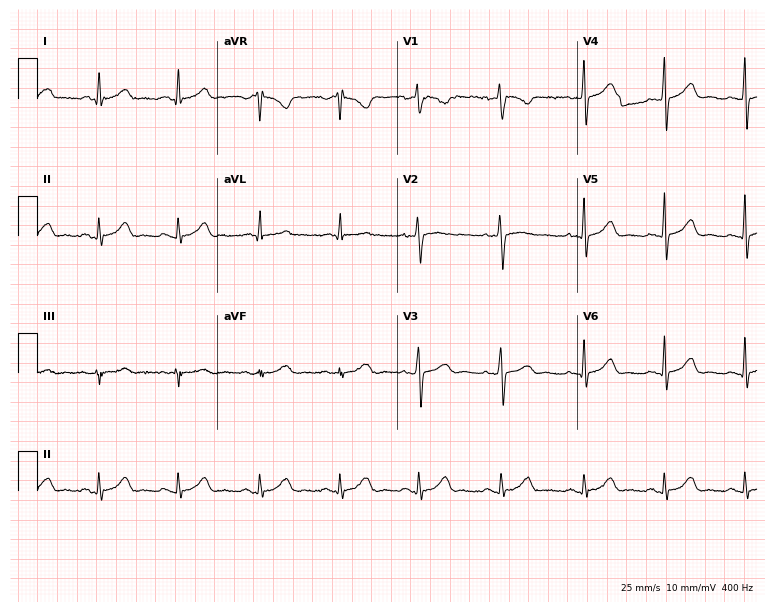
Electrocardiogram, a female patient, 44 years old. Overall reading on record: normal ECG.